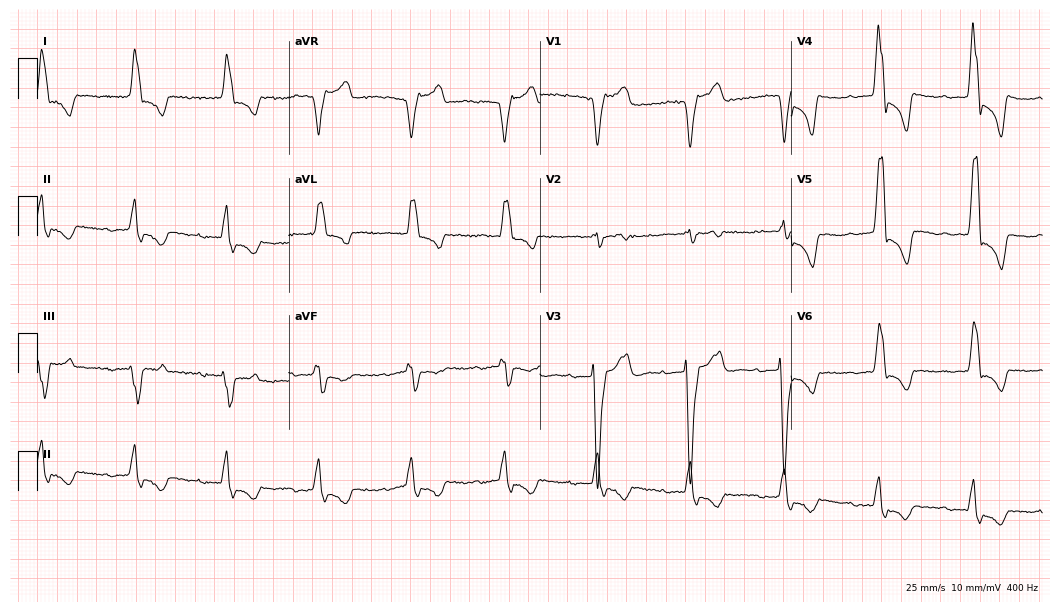
Electrocardiogram, a 78-year-old female. Interpretation includes first-degree AV block, left bundle branch block (LBBB).